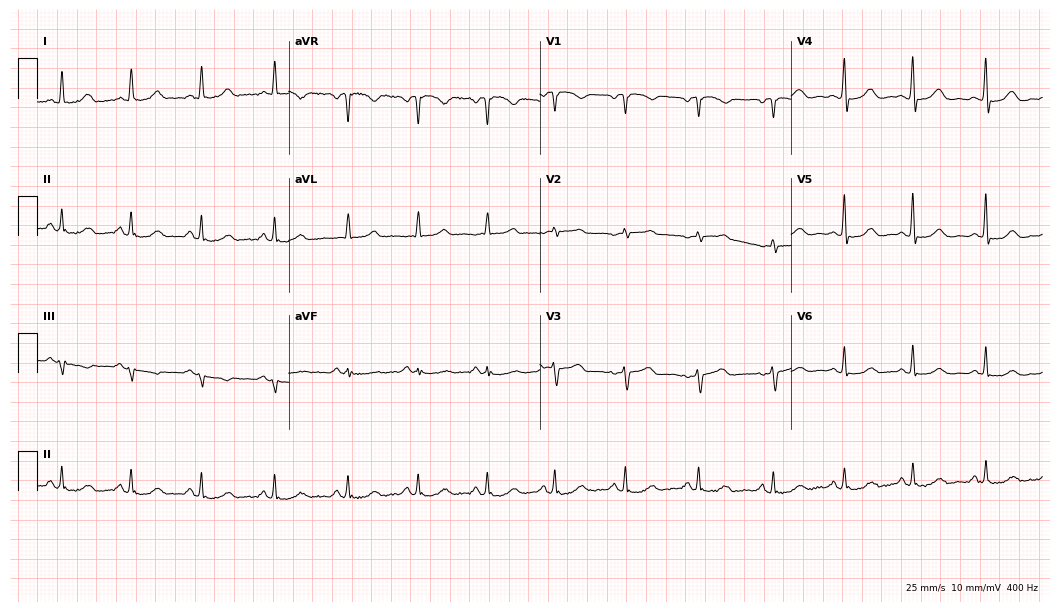
ECG (10.2-second recording at 400 Hz) — a 55-year-old female. Screened for six findings — first-degree AV block, right bundle branch block, left bundle branch block, sinus bradycardia, atrial fibrillation, sinus tachycardia — none is recorded.